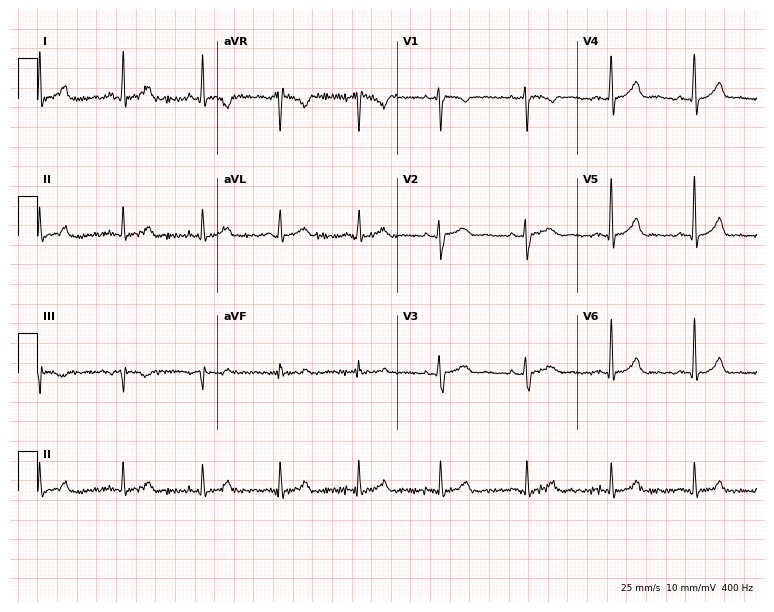
ECG — a 39-year-old female. Labelled as a normal ECG.